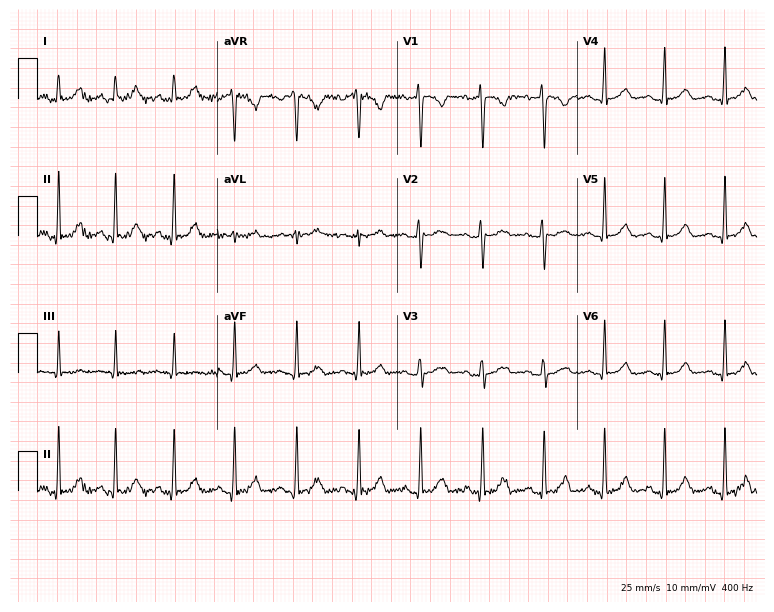
Resting 12-lead electrocardiogram. Patient: a 24-year-old female. Read as a normal ECG.